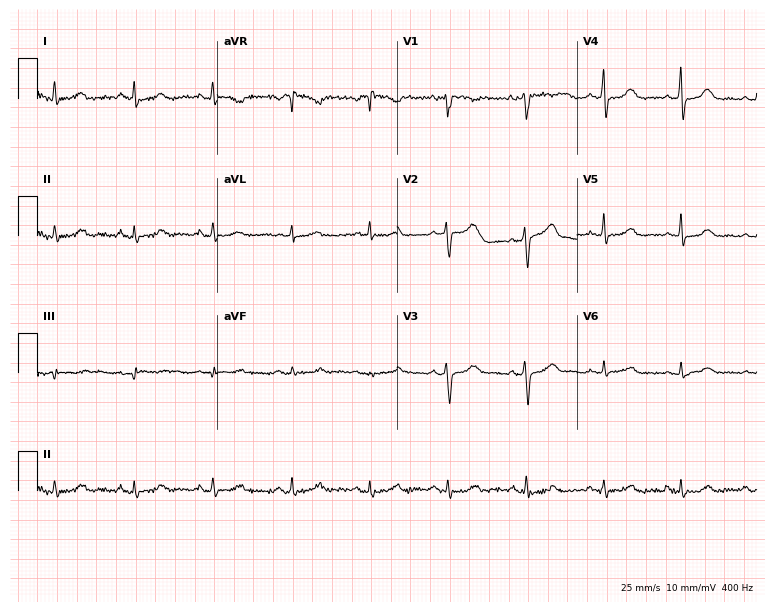
12-lead ECG from a 63-year-old man (7.3-second recording at 400 Hz). Recorded interpretation: within normal limits.